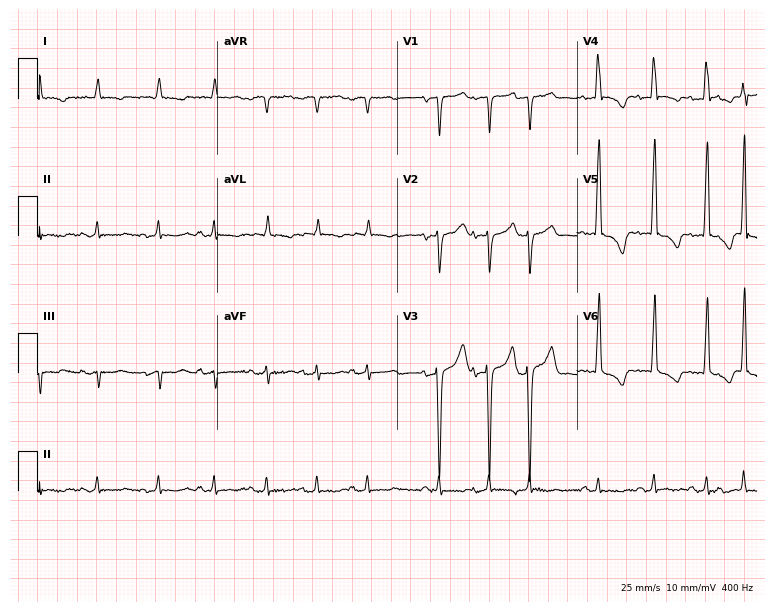
Standard 12-lead ECG recorded from a woman, 74 years old. The tracing shows sinus tachycardia (a sinus rate of 100 beats per minute or more).